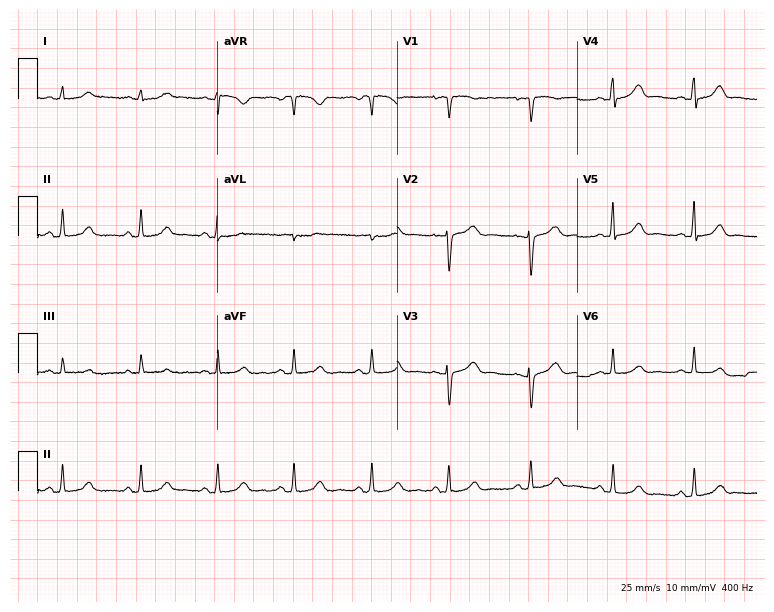
12-lead ECG (7.3-second recording at 400 Hz) from a female patient, 43 years old. Labelled as a normal ECG.